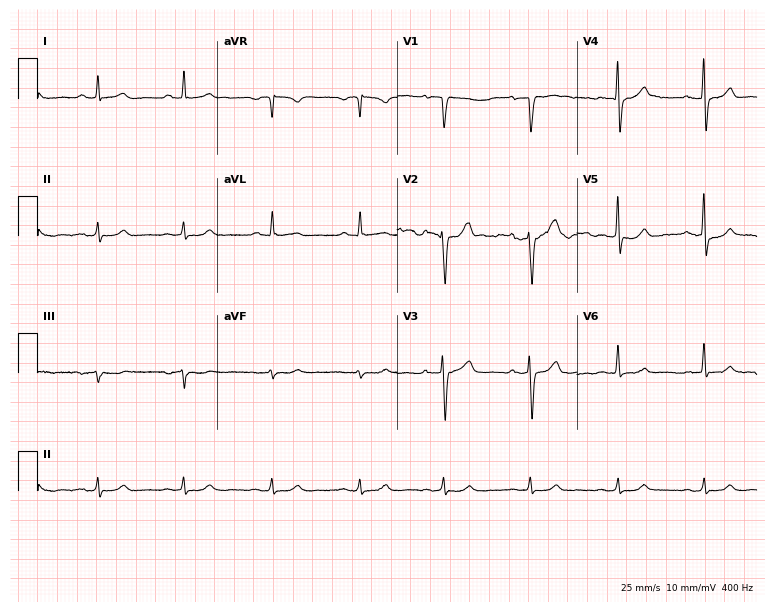
Resting 12-lead electrocardiogram (7.3-second recording at 400 Hz). Patient: a 60-year-old male. Read as a normal ECG.